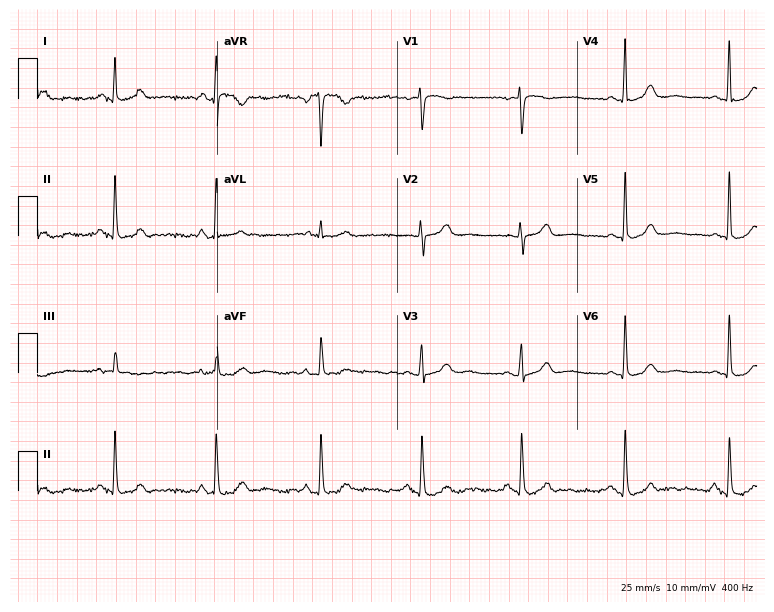
12-lead ECG (7.3-second recording at 400 Hz) from a woman, 58 years old. Labelled as a normal ECG.